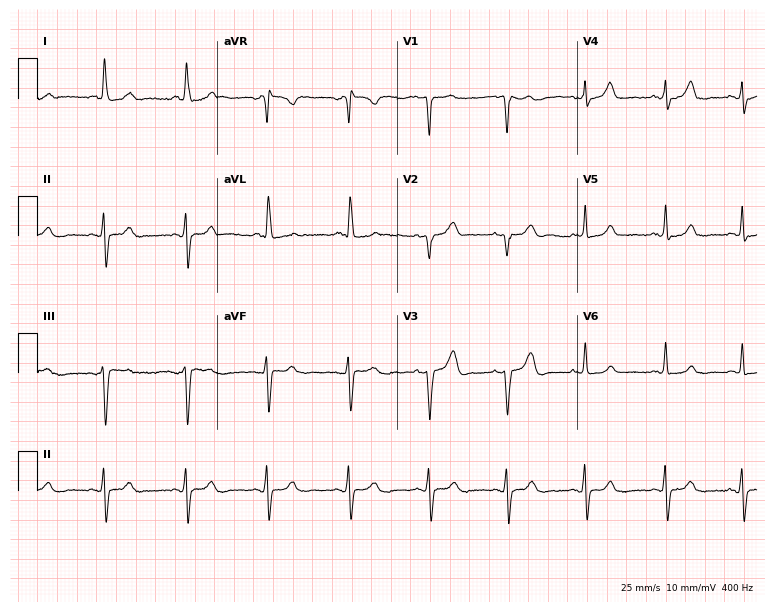
Electrocardiogram, a 75-year-old female patient. Of the six screened findings (first-degree AV block, right bundle branch block, left bundle branch block, sinus bradycardia, atrial fibrillation, sinus tachycardia), none is recorded. Findings outside these six are not listed.